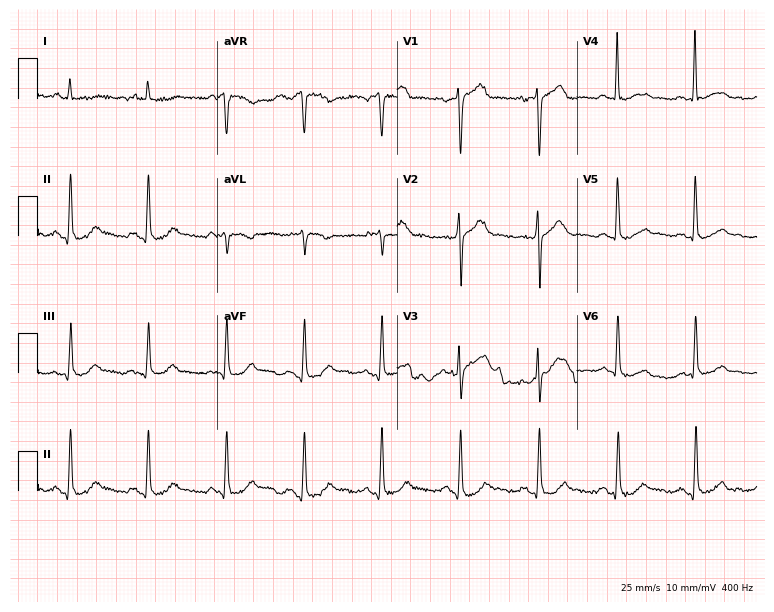
Standard 12-lead ECG recorded from an 84-year-old man (7.3-second recording at 400 Hz). Read as a normal ECG.